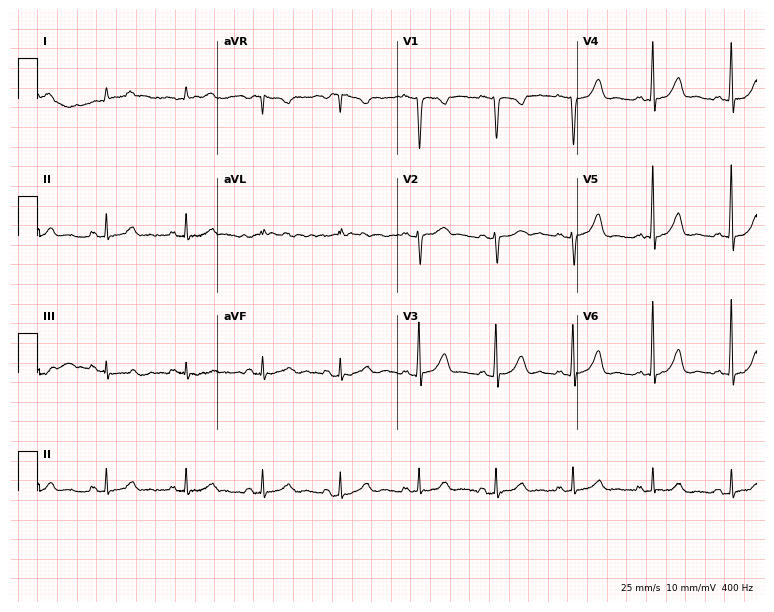
Standard 12-lead ECG recorded from a 64-year-old woman. Read as a normal ECG.